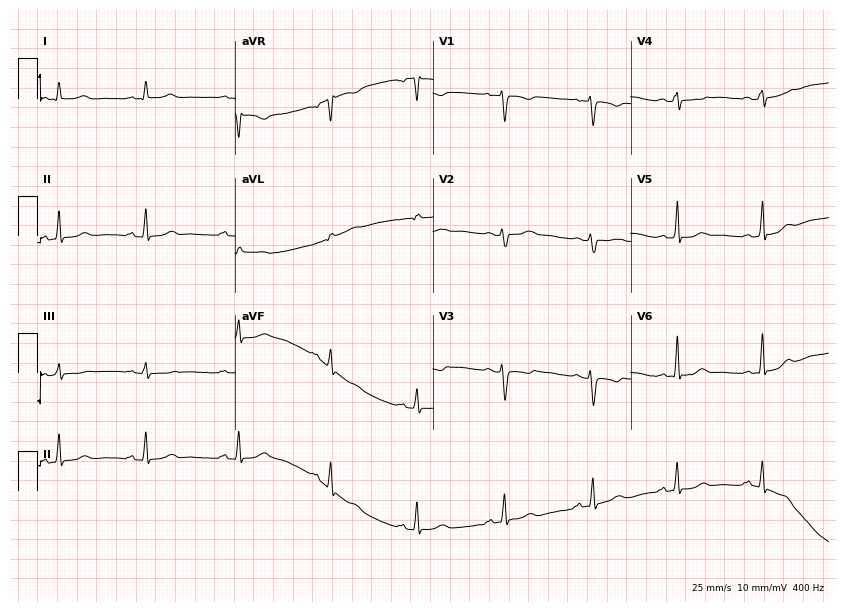
ECG — a 31-year-old female patient. Screened for six findings — first-degree AV block, right bundle branch block, left bundle branch block, sinus bradycardia, atrial fibrillation, sinus tachycardia — none is recorded.